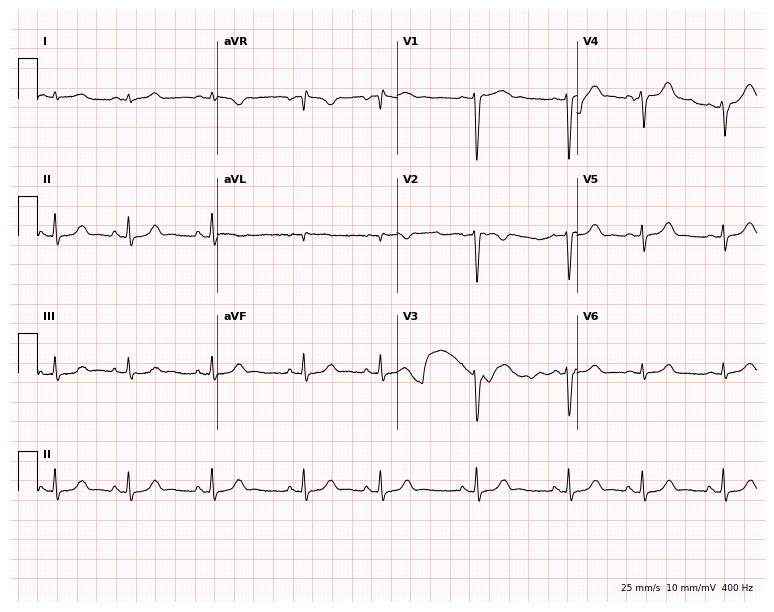
ECG — a woman, 30 years old. Labelled as a normal ECG.